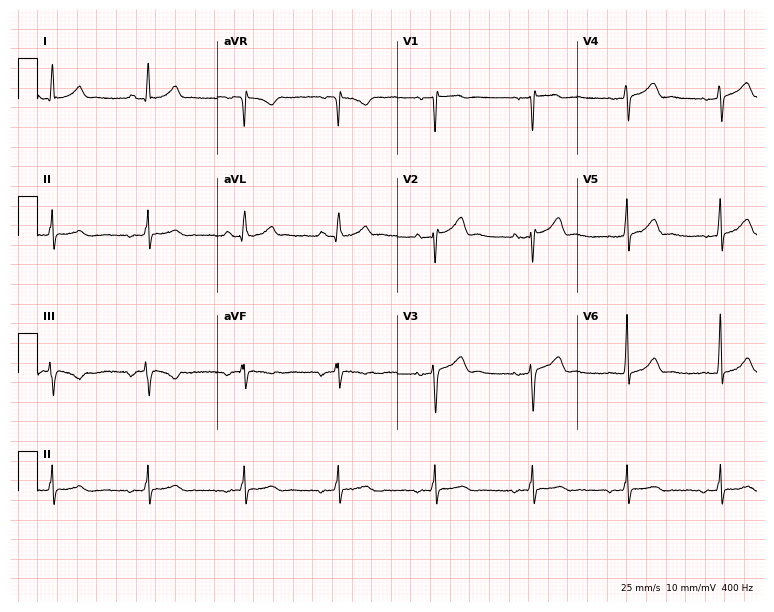
Resting 12-lead electrocardiogram (7.3-second recording at 400 Hz). Patient: a male, 48 years old. None of these six findings is recorded: first-degree AV block, right bundle branch block (RBBB), left bundle branch block (LBBB), sinus bradycardia, atrial fibrillation (AF), sinus tachycardia.